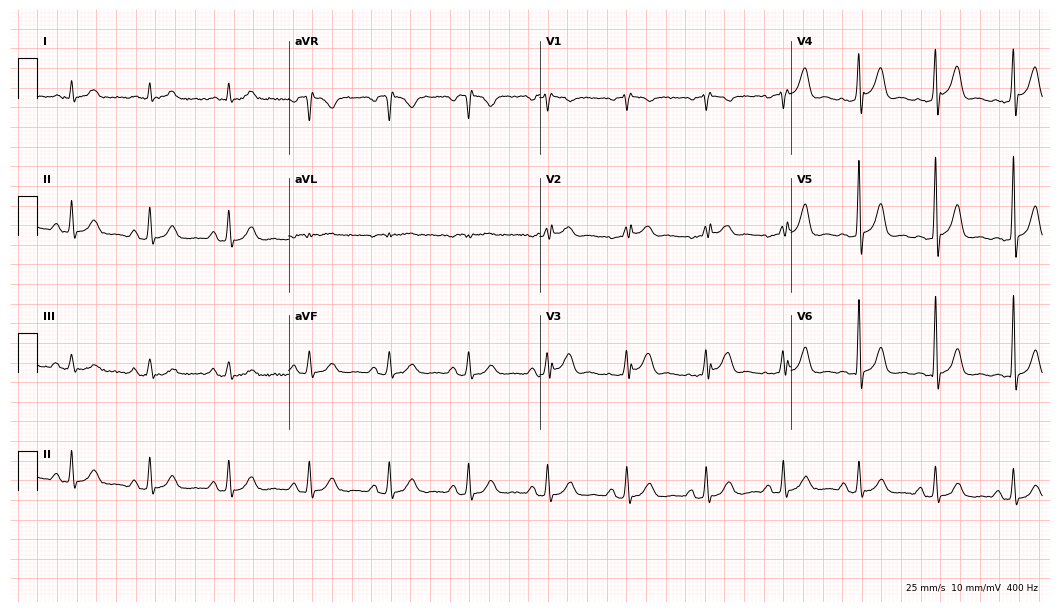
12-lead ECG from a man, 62 years old. Recorded interpretation: within normal limits.